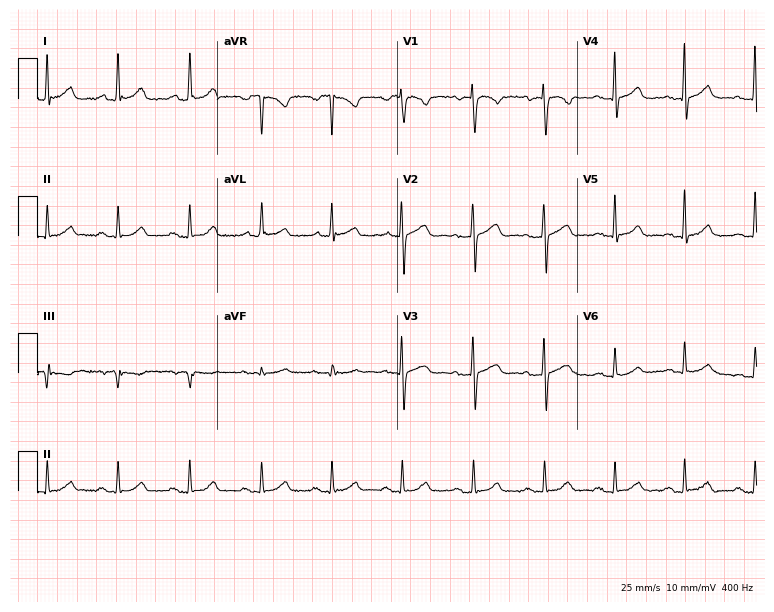
Standard 12-lead ECG recorded from a woman, 58 years old (7.3-second recording at 400 Hz). None of these six findings is recorded: first-degree AV block, right bundle branch block, left bundle branch block, sinus bradycardia, atrial fibrillation, sinus tachycardia. Other findings, if any, are not listed.